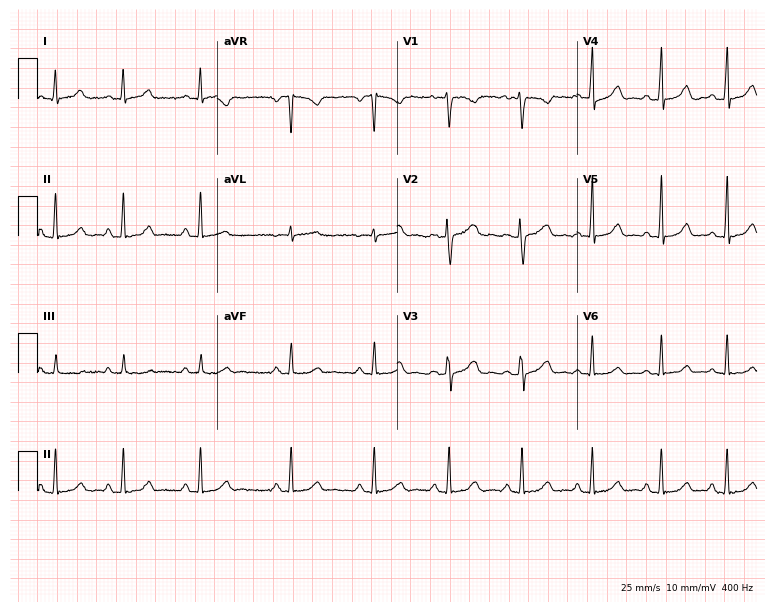
12-lead ECG from a female, 26 years old (7.3-second recording at 400 Hz). No first-degree AV block, right bundle branch block, left bundle branch block, sinus bradycardia, atrial fibrillation or sinus tachycardia recorded for this tracing.